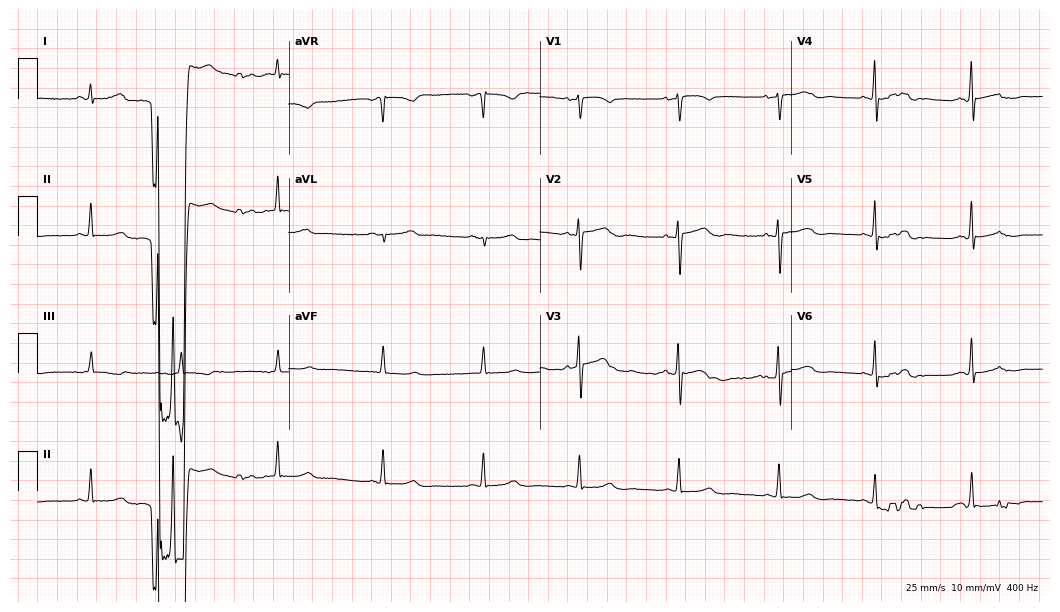
12-lead ECG from a female patient, 51 years old (10.2-second recording at 400 Hz). Recorded interpretation: within normal limits.